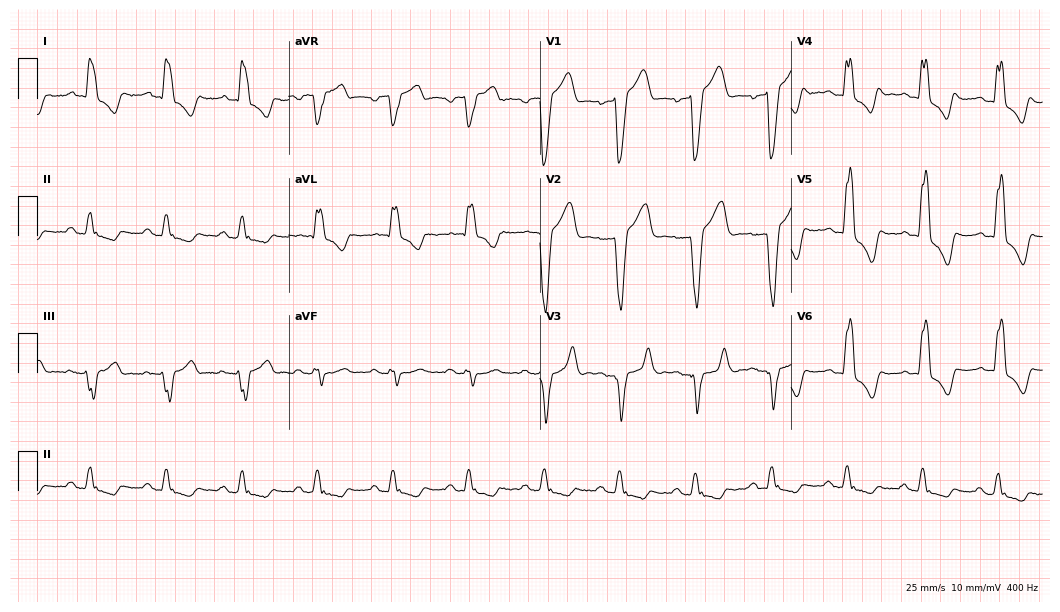
ECG — a 74-year-old male patient. Findings include left bundle branch block.